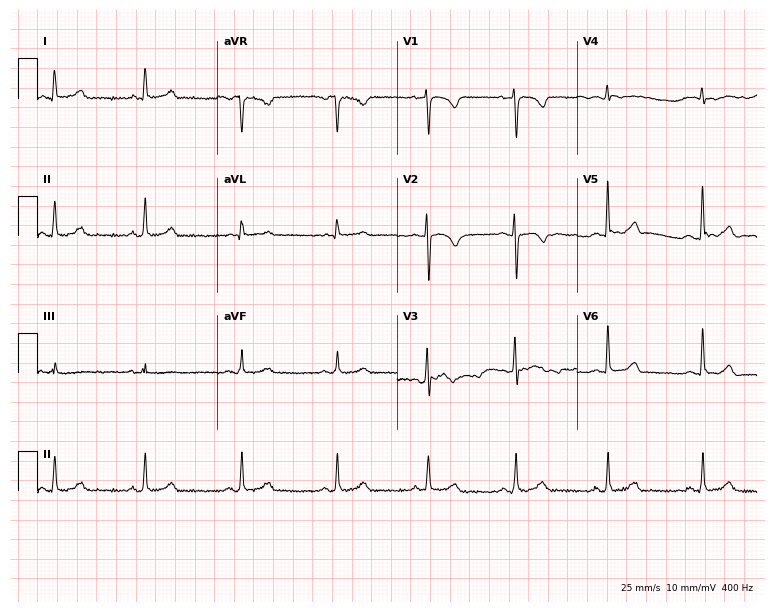
12-lead ECG from a female patient, 36 years old (7.3-second recording at 400 Hz). No first-degree AV block, right bundle branch block, left bundle branch block, sinus bradycardia, atrial fibrillation or sinus tachycardia recorded for this tracing. Findings outside these six are not listed.